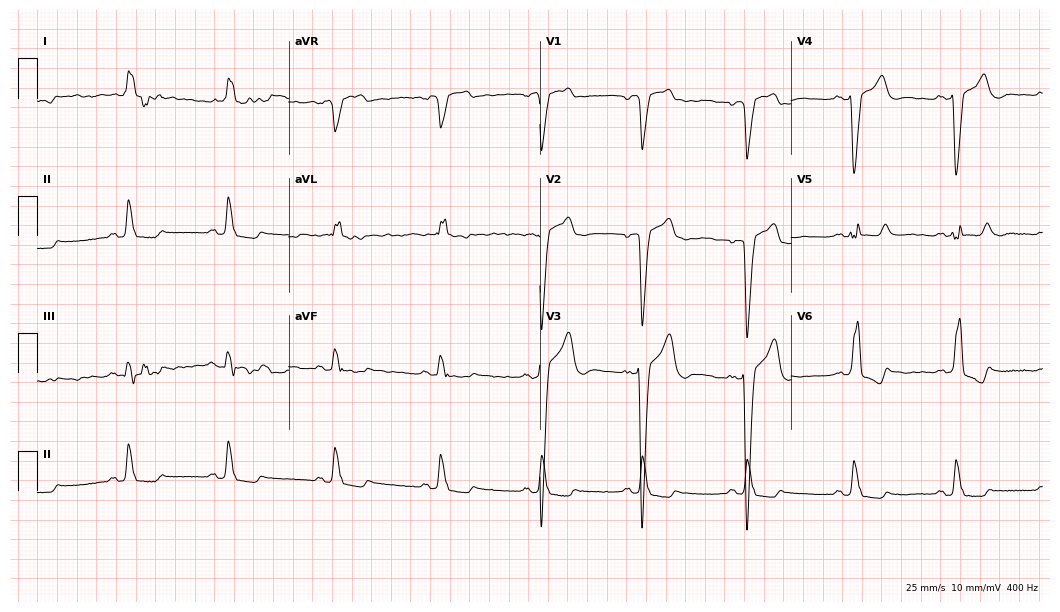
Electrocardiogram (10.2-second recording at 400 Hz), a male, 81 years old. Interpretation includes left bundle branch block (LBBB).